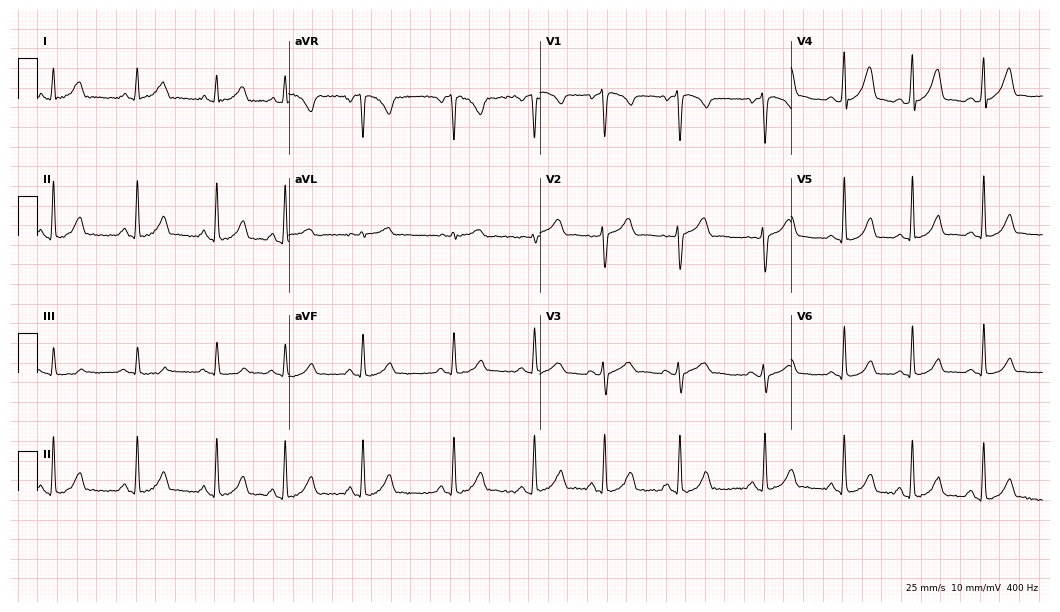
Resting 12-lead electrocardiogram. Patient: a 22-year-old woman. Read as a normal ECG.